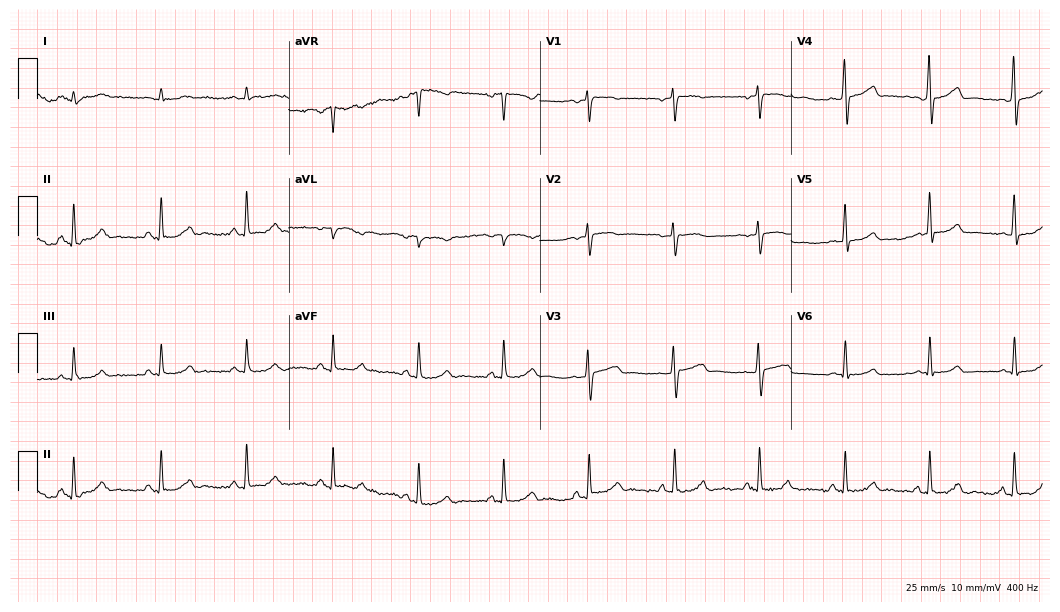
Resting 12-lead electrocardiogram. Patient: a male, 76 years old. Read as a normal ECG.